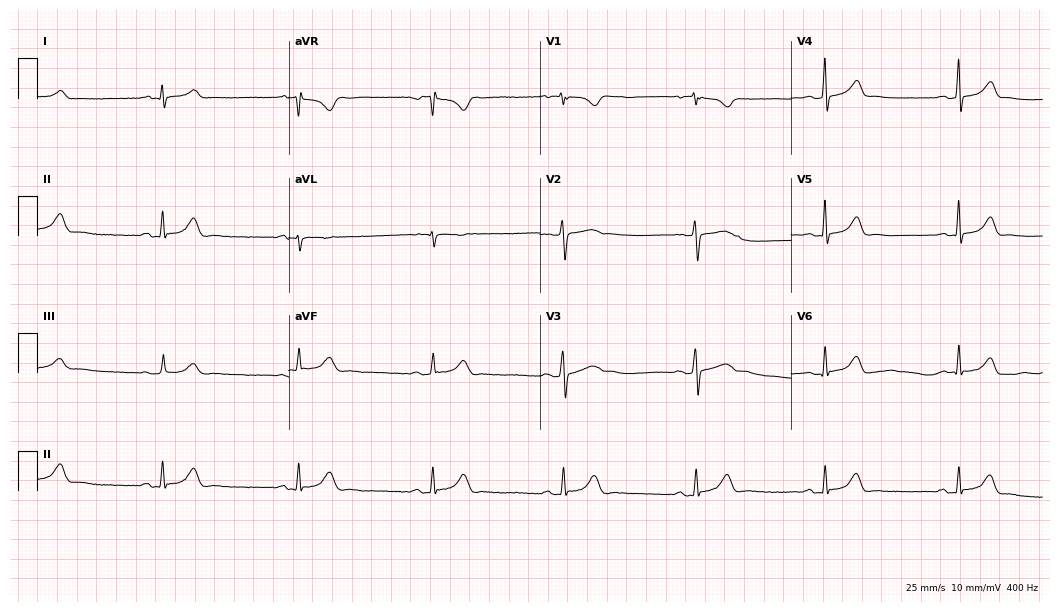
Resting 12-lead electrocardiogram (10.2-second recording at 400 Hz). Patient: a woman, 26 years old. None of these six findings is recorded: first-degree AV block, right bundle branch block, left bundle branch block, sinus bradycardia, atrial fibrillation, sinus tachycardia.